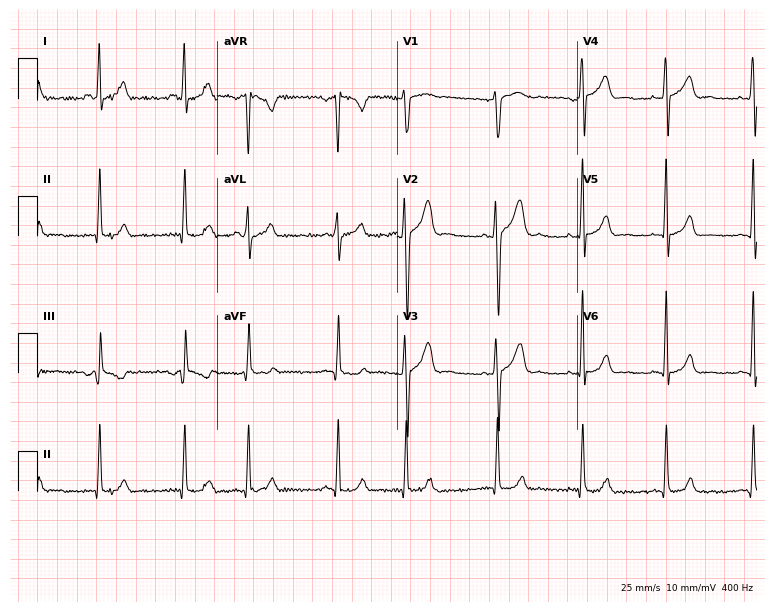
Electrocardiogram, a man, 26 years old. Overall reading on record: normal ECG.